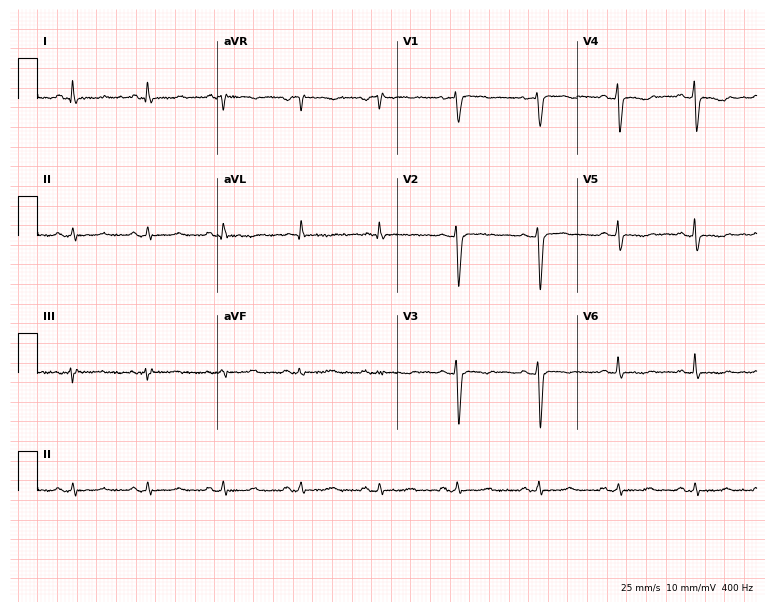
ECG (7.3-second recording at 400 Hz) — a 44-year-old woman. Screened for six findings — first-degree AV block, right bundle branch block, left bundle branch block, sinus bradycardia, atrial fibrillation, sinus tachycardia — none is recorded. Findings outside these six are not listed.